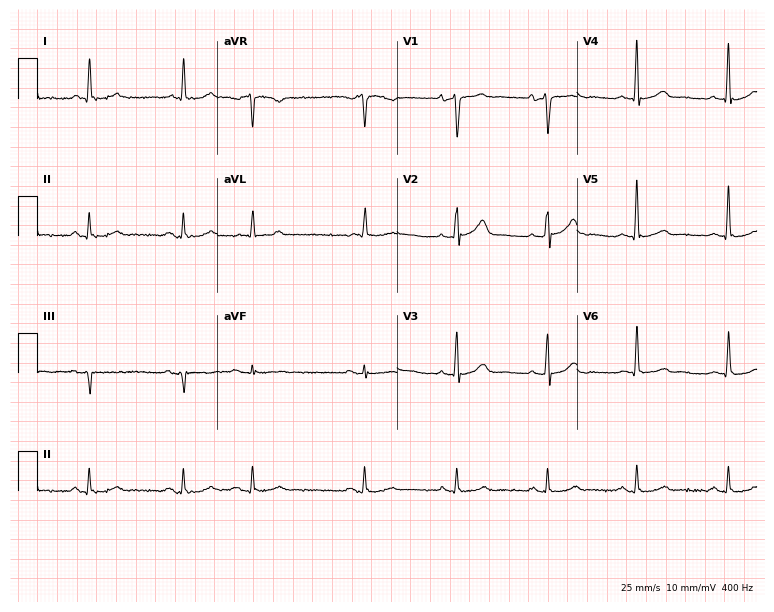
12-lead ECG (7.3-second recording at 400 Hz) from a 67-year-old man. Screened for six findings — first-degree AV block, right bundle branch block (RBBB), left bundle branch block (LBBB), sinus bradycardia, atrial fibrillation (AF), sinus tachycardia — none is recorded. Only these six findings were labelled.